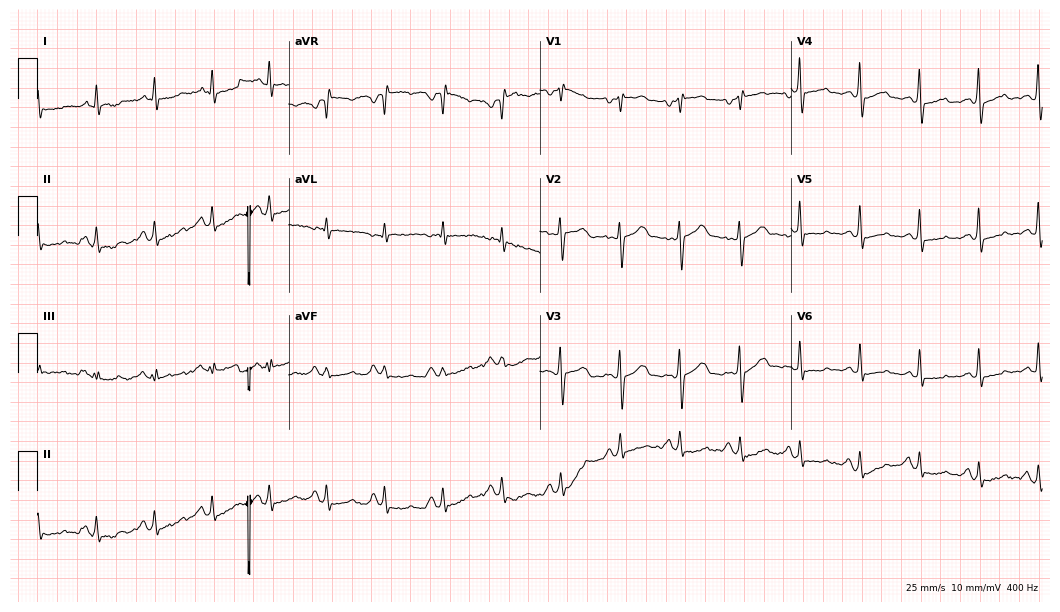
Standard 12-lead ECG recorded from a 41-year-old male. The tracing shows sinus tachycardia (a sinus rate of 100 beats per minute or more).